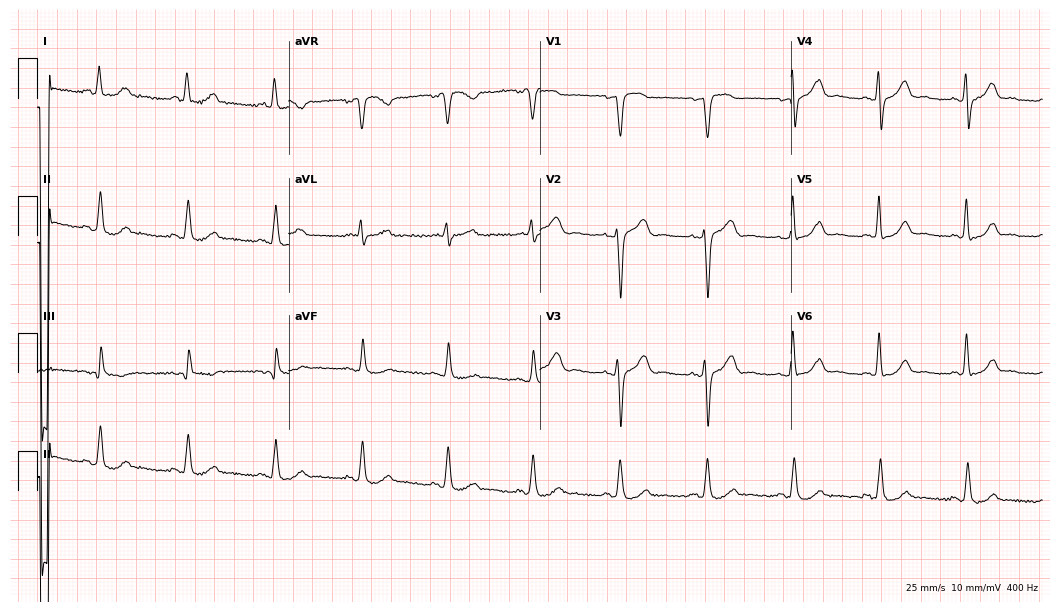
Standard 12-lead ECG recorded from a 53-year-old male. Read as a normal ECG.